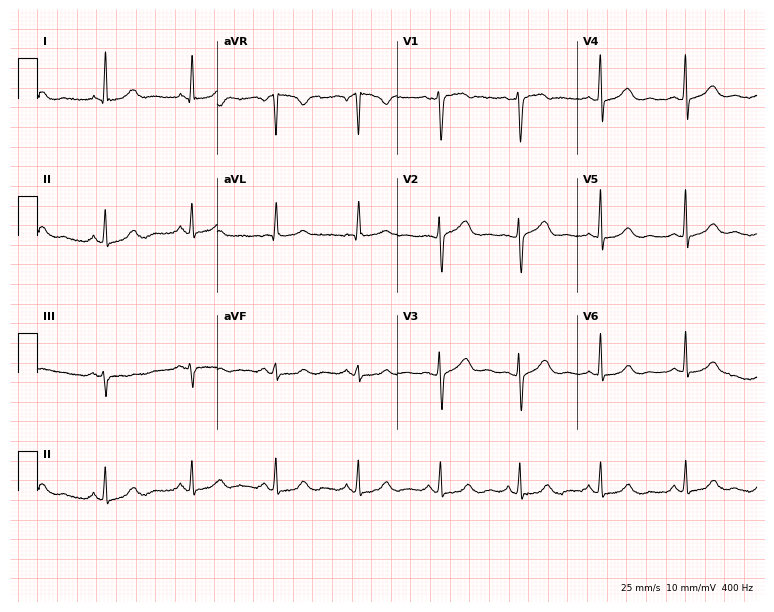
12-lead ECG from a 54-year-old female (7.3-second recording at 400 Hz). Recorded interpretation: within normal limits.